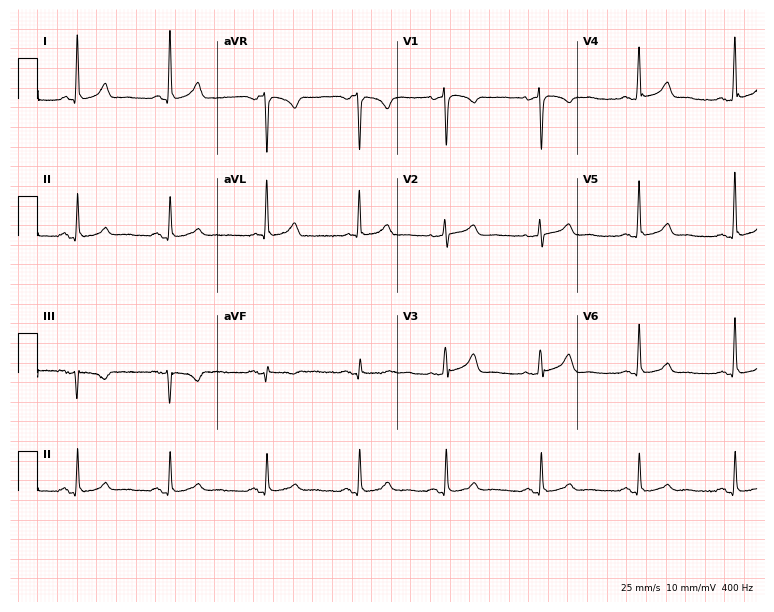
Standard 12-lead ECG recorded from an 81-year-old female patient (7.3-second recording at 400 Hz). None of these six findings is recorded: first-degree AV block, right bundle branch block, left bundle branch block, sinus bradycardia, atrial fibrillation, sinus tachycardia. Findings outside these six are not listed.